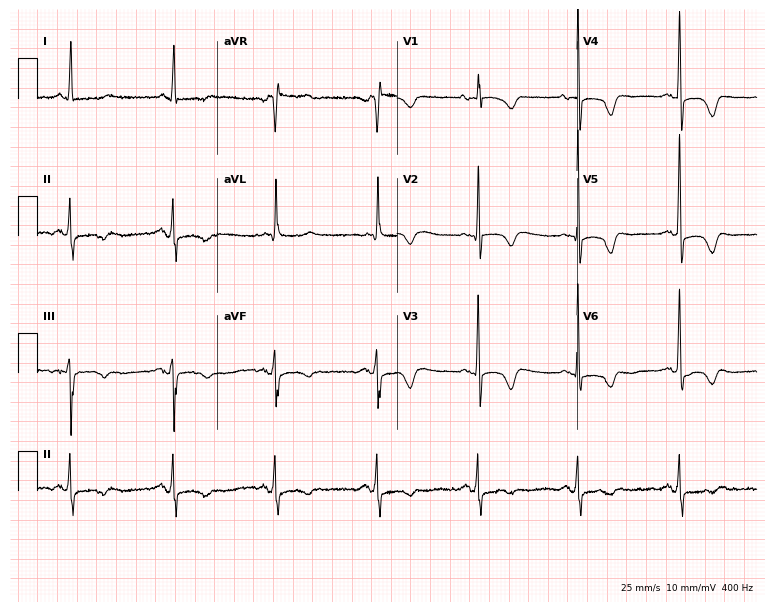
Resting 12-lead electrocardiogram (7.3-second recording at 400 Hz). Patient: an 80-year-old female. None of these six findings is recorded: first-degree AV block, right bundle branch block, left bundle branch block, sinus bradycardia, atrial fibrillation, sinus tachycardia. Only these six findings were labelled.